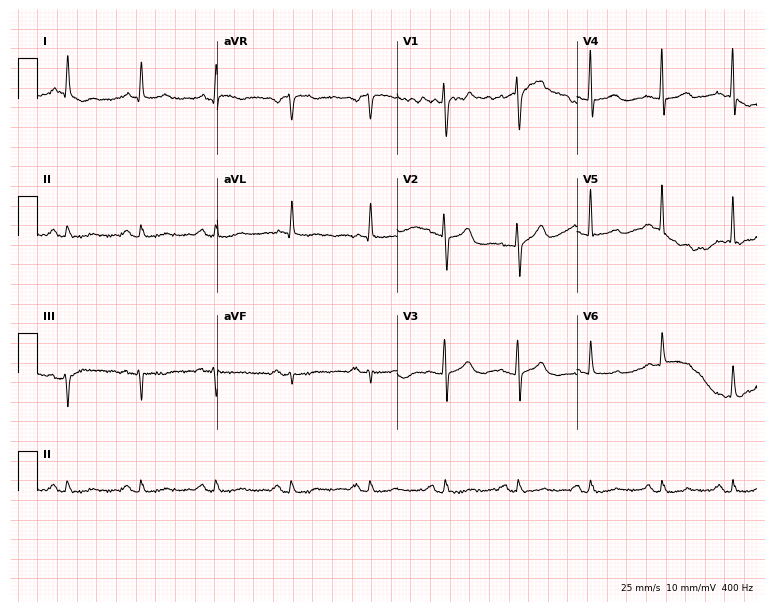
12-lead ECG from a man, 61 years old (7.3-second recording at 400 Hz). No first-degree AV block, right bundle branch block, left bundle branch block, sinus bradycardia, atrial fibrillation or sinus tachycardia recorded for this tracing.